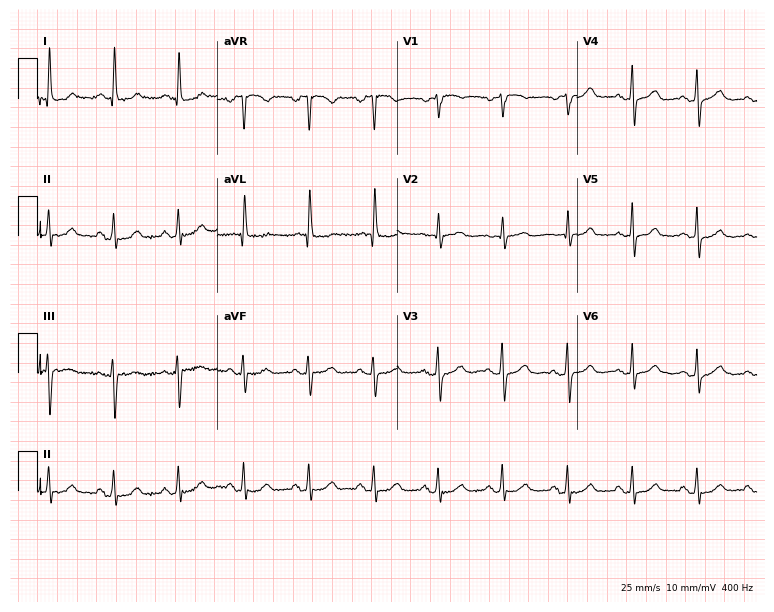
12-lead ECG from a female, 71 years old. Recorded interpretation: within normal limits.